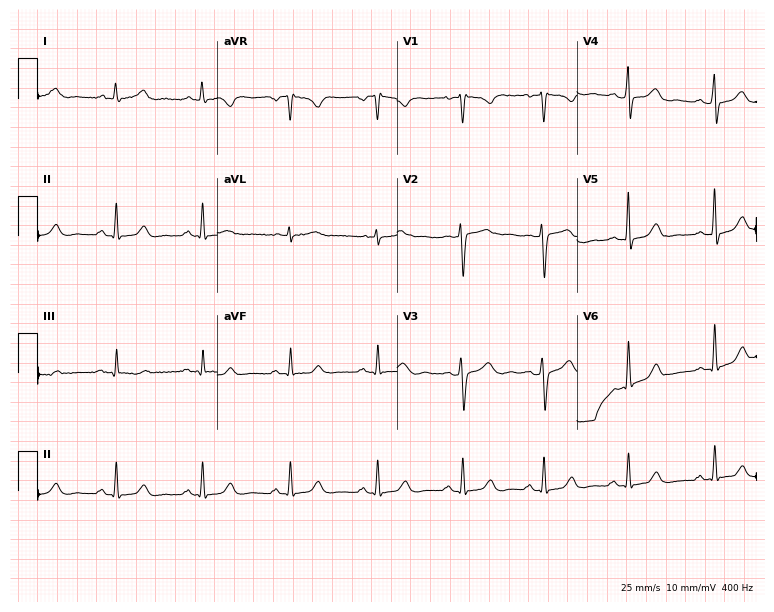
Resting 12-lead electrocardiogram. Patient: a 30-year-old woman. None of these six findings is recorded: first-degree AV block, right bundle branch block, left bundle branch block, sinus bradycardia, atrial fibrillation, sinus tachycardia. Findings outside these six are not listed.